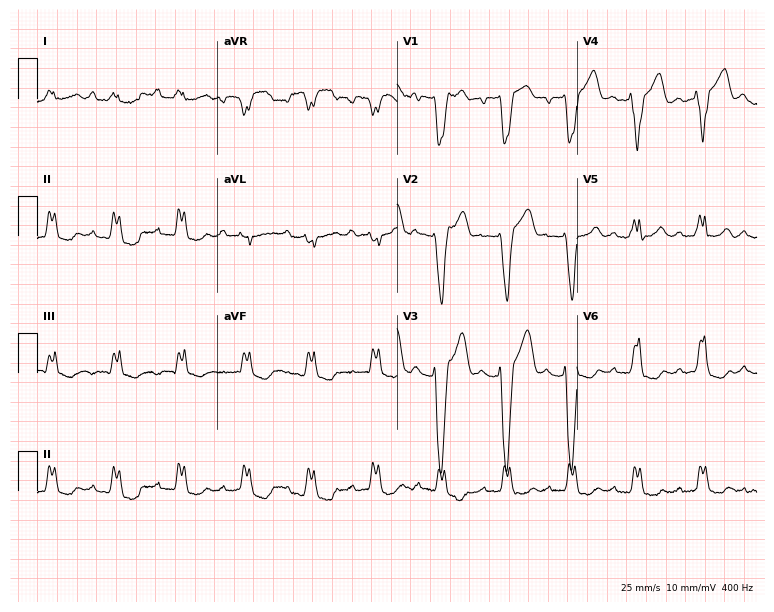
Standard 12-lead ECG recorded from a male patient, 75 years old (7.3-second recording at 400 Hz). None of these six findings is recorded: first-degree AV block, right bundle branch block, left bundle branch block, sinus bradycardia, atrial fibrillation, sinus tachycardia.